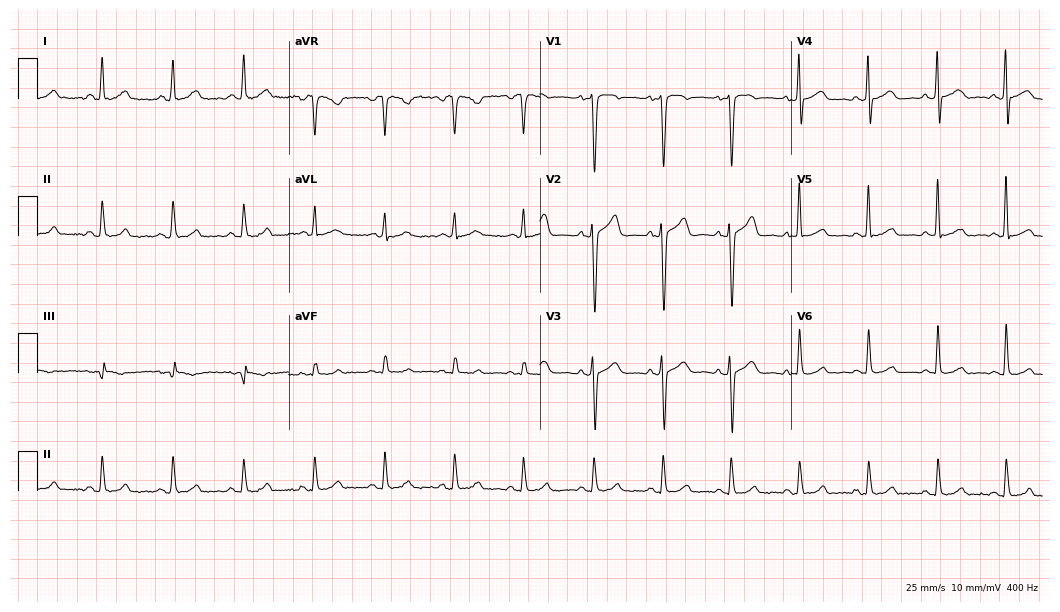
12-lead ECG from a 36-year-old man (10.2-second recording at 400 Hz). Recorded interpretation: within normal limits.